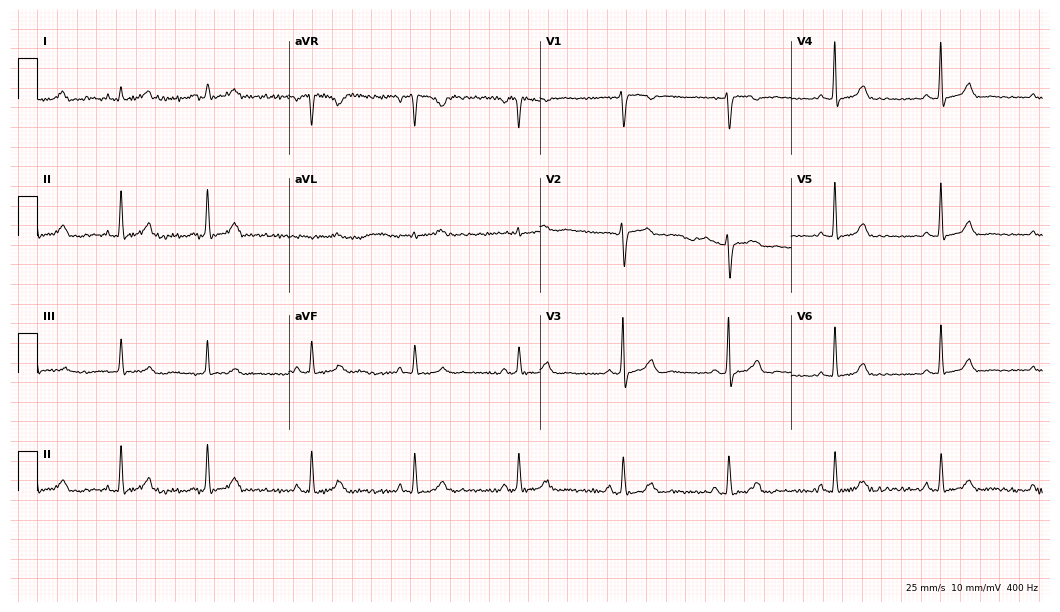
ECG — a female, 38 years old. Labelled as a normal ECG.